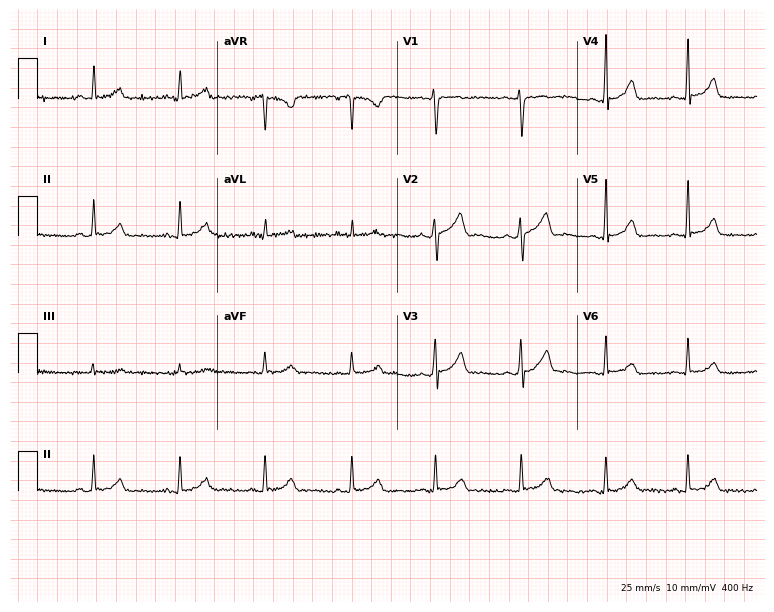
Resting 12-lead electrocardiogram (7.3-second recording at 400 Hz). Patient: a 34-year-old female. None of these six findings is recorded: first-degree AV block, right bundle branch block, left bundle branch block, sinus bradycardia, atrial fibrillation, sinus tachycardia. Findings outside these six are not listed.